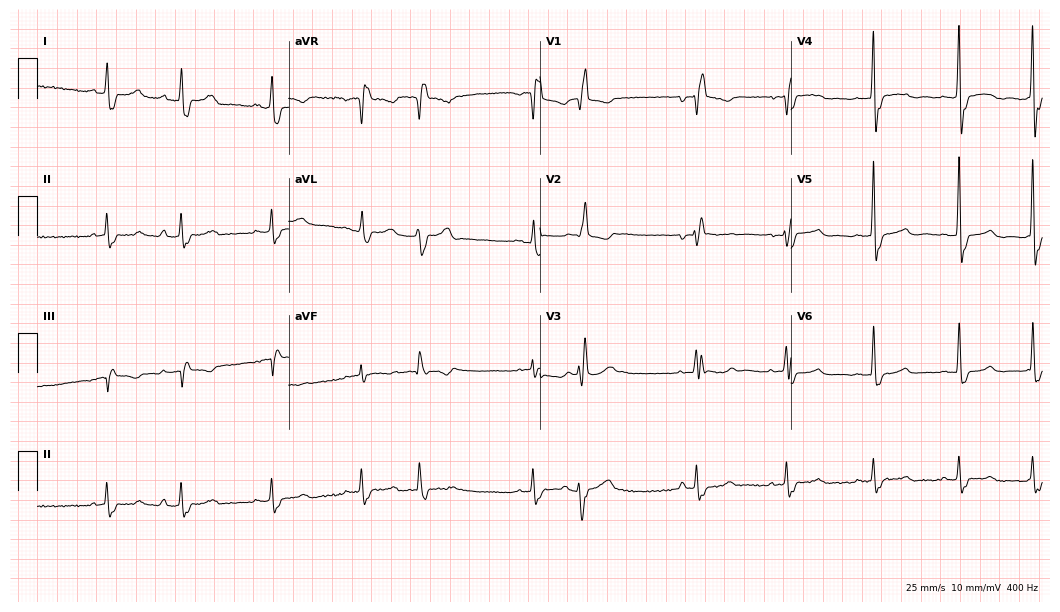
ECG — an 80-year-old woman. Findings include right bundle branch block.